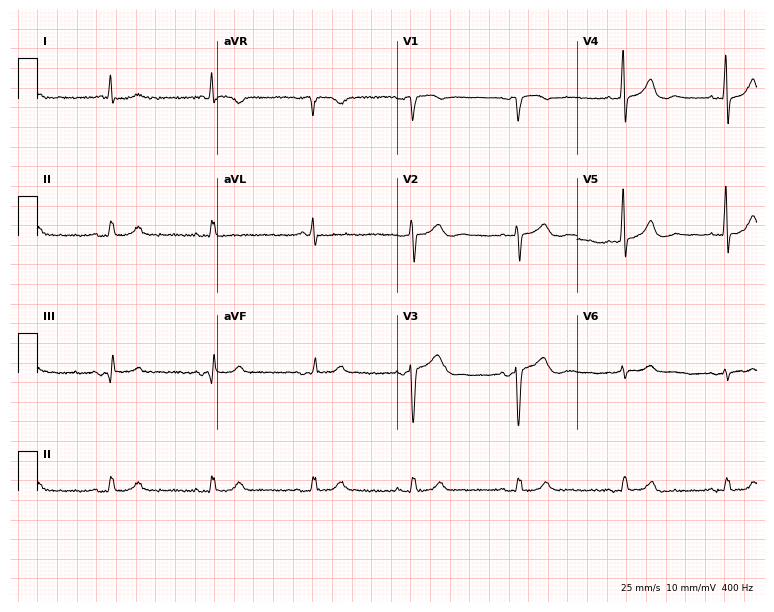
Standard 12-lead ECG recorded from a male patient, 79 years old (7.3-second recording at 400 Hz). Read as a normal ECG.